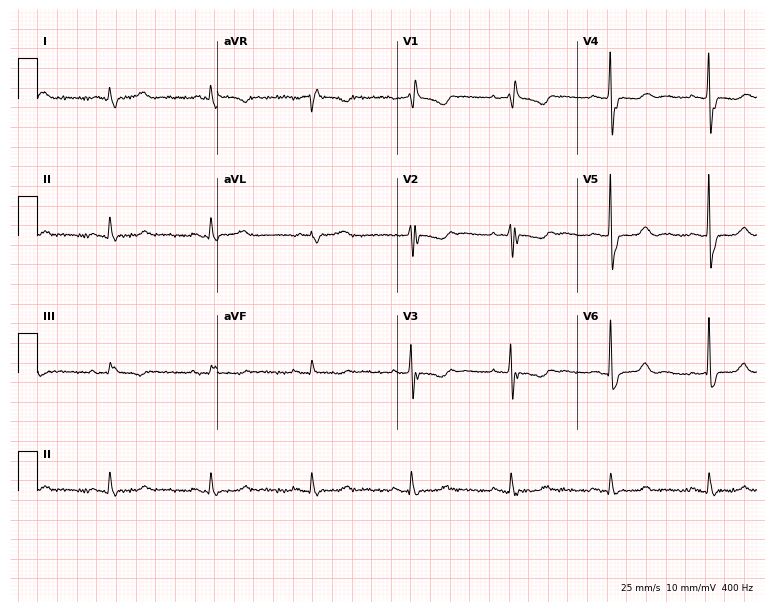
ECG (7.3-second recording at 400 Hz) — a 79-year-old female. Findings include right bundle branch block.